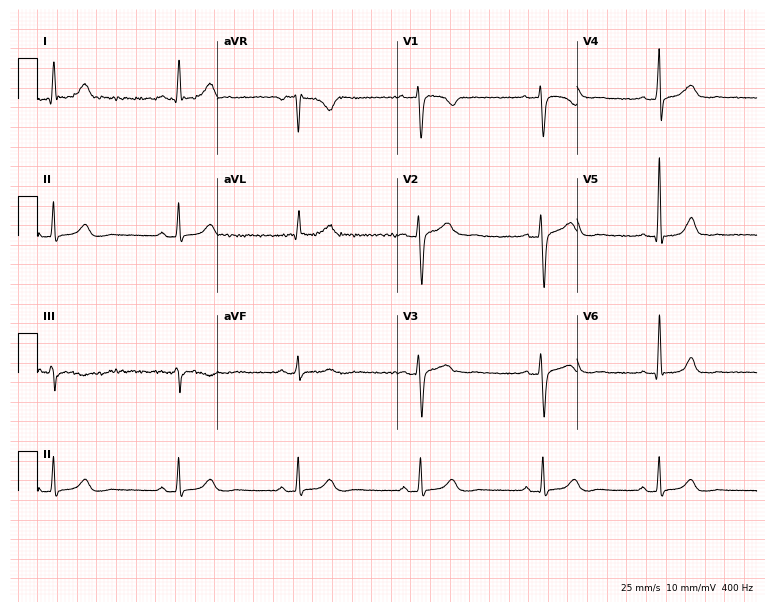
ECG (7.3-second recording at 400 Hz) — a 36-year-old male patient. Labelled as a normal ECG.